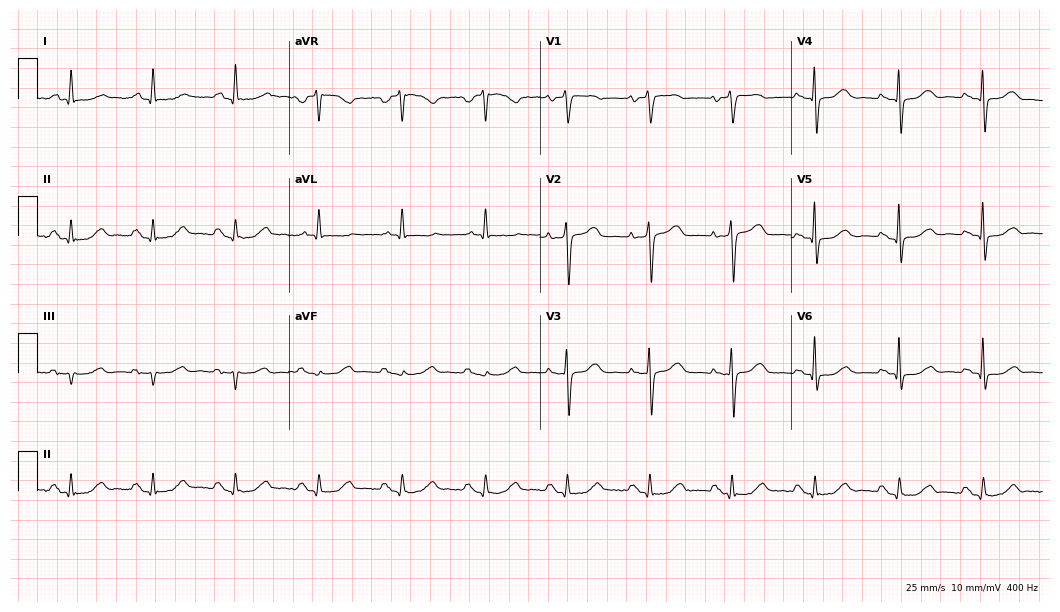
12-lead ECG (10.2-second recording at 400 Hz) from a female patient, 64 years old. Screened for six findings — first-degree AV block, right bundle branch block, left bundle branch block, sinus bradycardia, atrial fibrillation, sinus tachycardia — none is recorded.